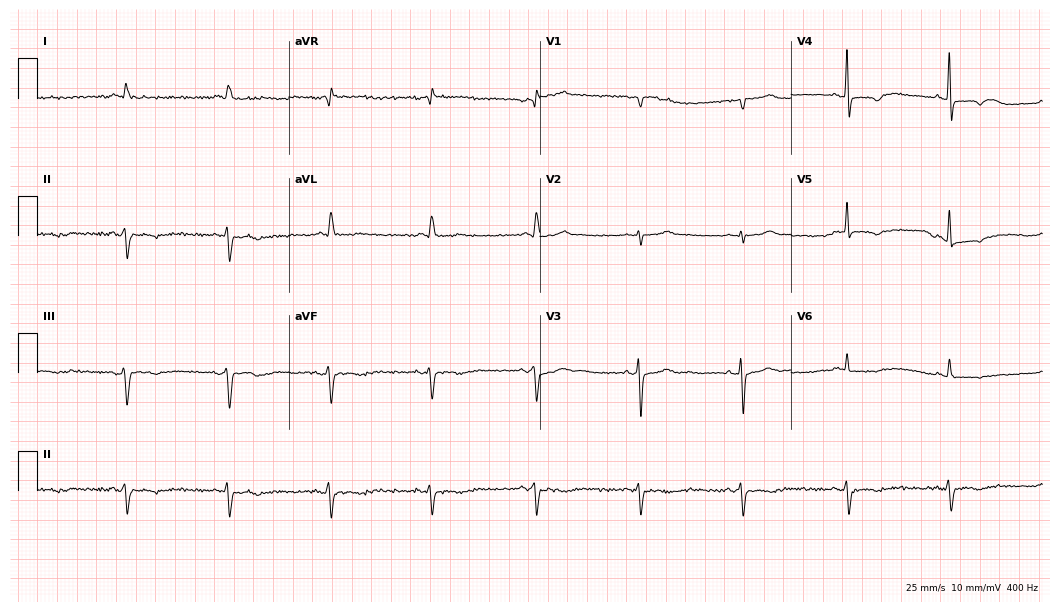
ECG (10.2-second recording at 400 Hz) — a man, 73 years old. Screened for six findings — first-degree AV block, right bundle branch block, left bundle branch block, sinus bradycardia, atrial fibrillation, sinus tachycardia — none is recorded. Findings outside these six are not listed.